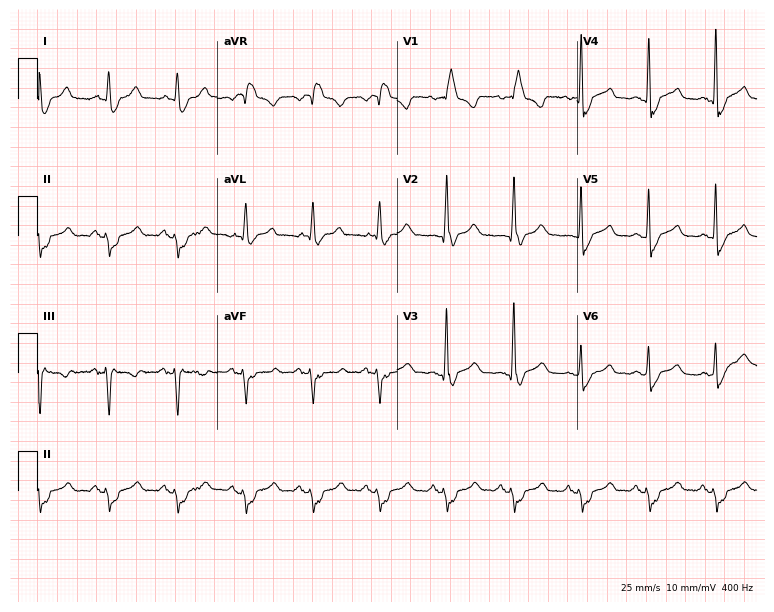
12-lead ECG (7.3-second recording at 400 Hz) from a female patient, 56 years old. Findings include right bundle branch block (RBBB).